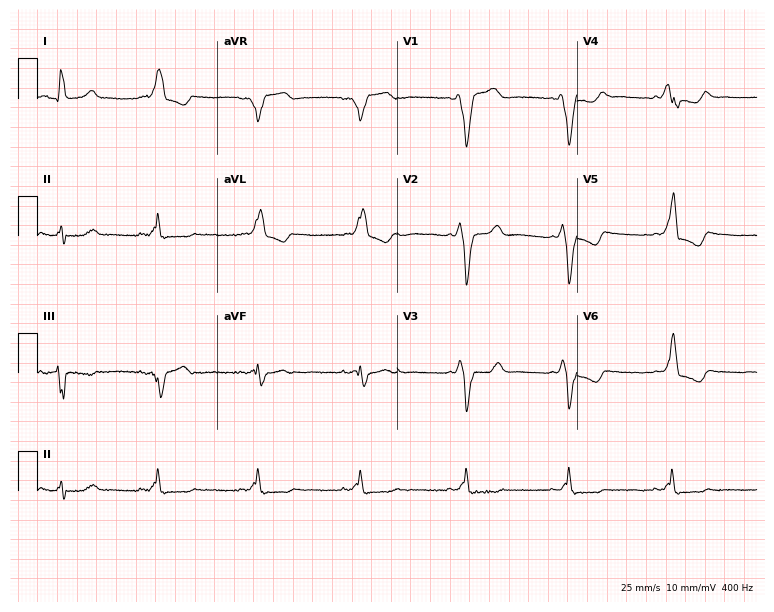
Electrocardiogram (7.3-second recording at 400 Hz), a 54-year-old woman. Of the six screened findings (first-degree AV block, right bundle branch block (RBBB), left bundle branch block (LBBB), sinus bradycardia, atrial fibrillation (AF), sinus tachycardia), none is recorded. Findings outside these six are not listed.